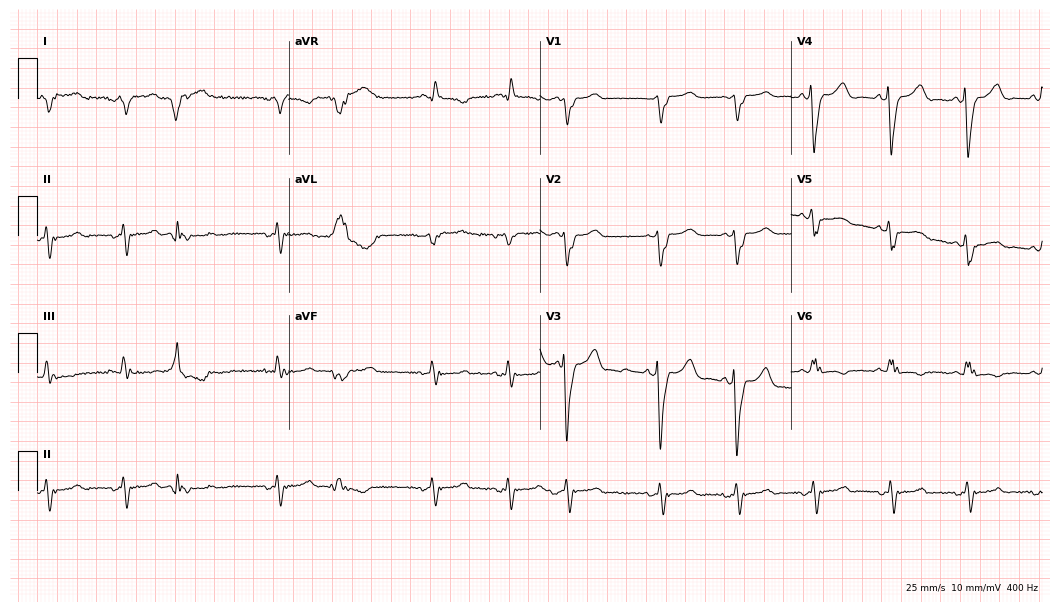
12-lead ECG from a 60-year-old man. Screened for six findings — first-degree AV block, right bundle branch block, left bundle branch block, sinus bradycardia, atrial fibrillation, sinus tachycardia — none is recorded.